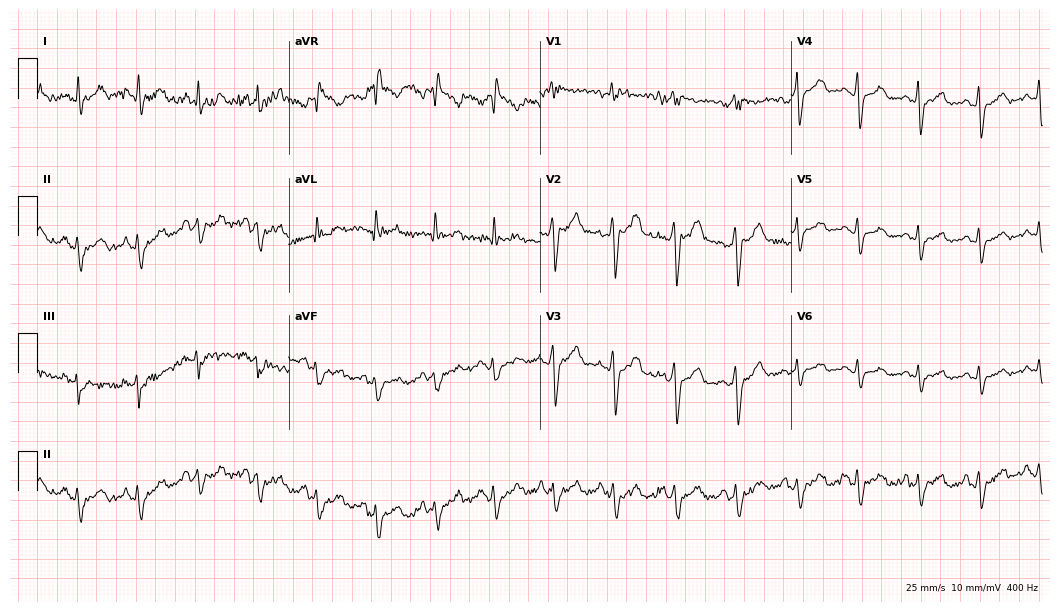
Resting 12-lead electrocardiogram. Patient: a 36-year-old male. None of these six findings is recorded: first-degree AV block, right bundle branch block, left bundle branch block, sinus bradycardia, atrial fibrillation, sinus tachycardia.